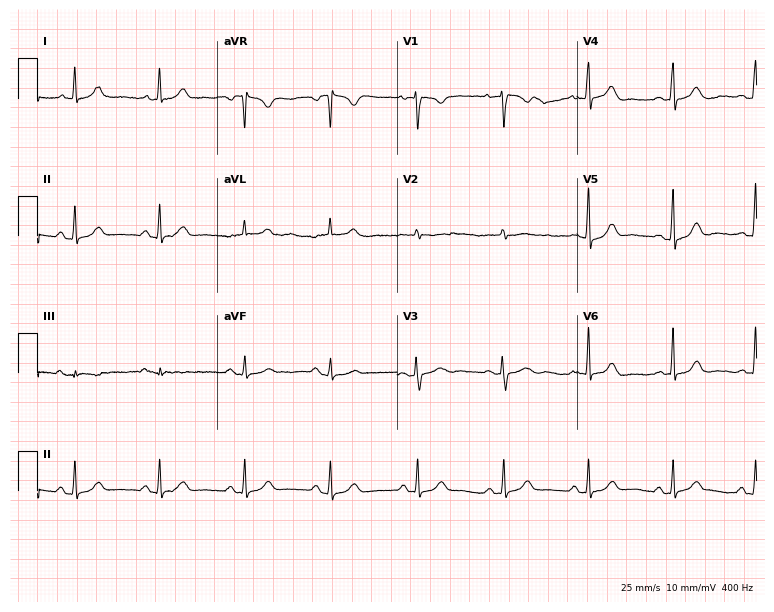
12-lead ECG from a female, 33 years old. Recorded interpretation: within normal limits.